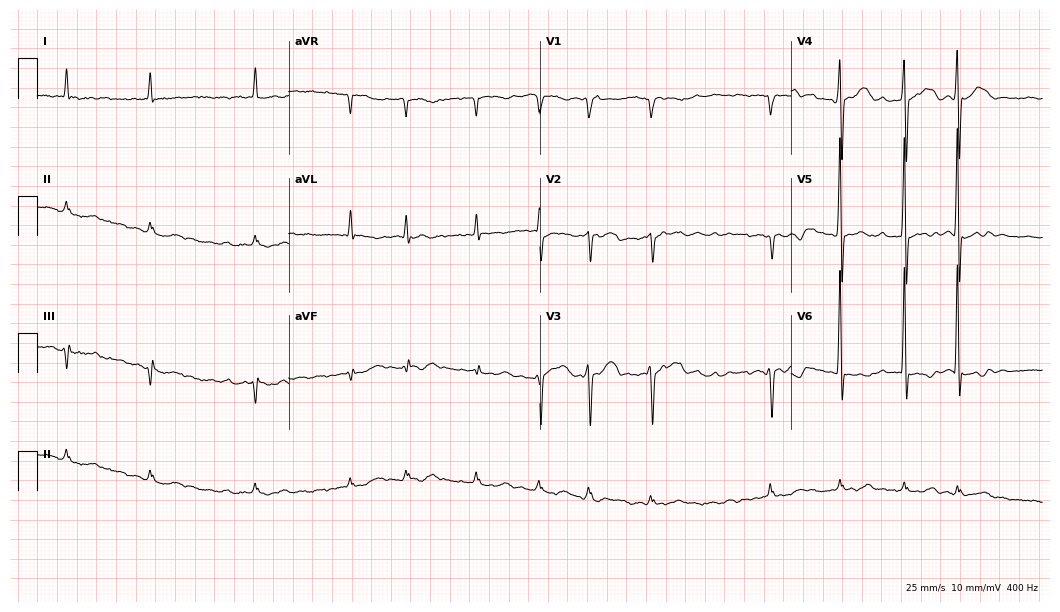
Standard 12-lead ECG recorded from a 73-year-old male patient. The tracing shows atrial fibrillation (AF).